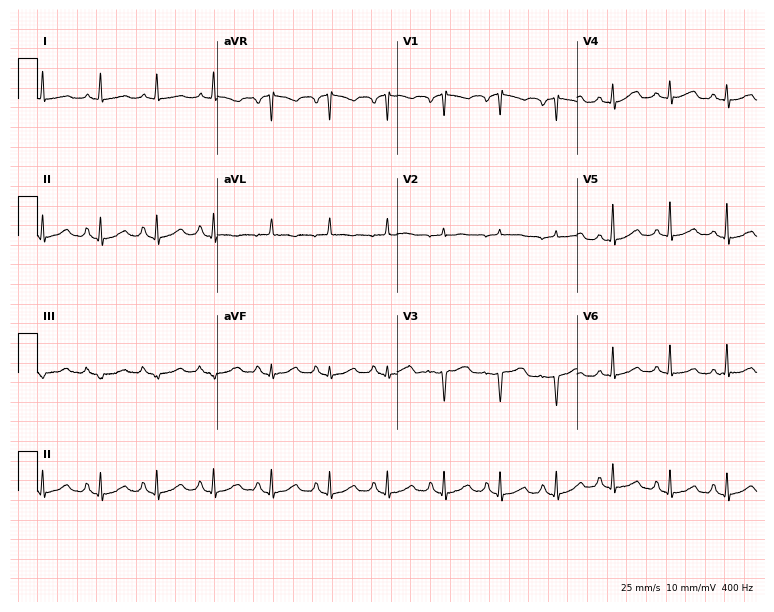
Resting 12-lead electrocardiogram. Patient: a 59-year-old woman. The tracing shows sinus tachycardia (a sinus rate of 100 beats per minute or more).